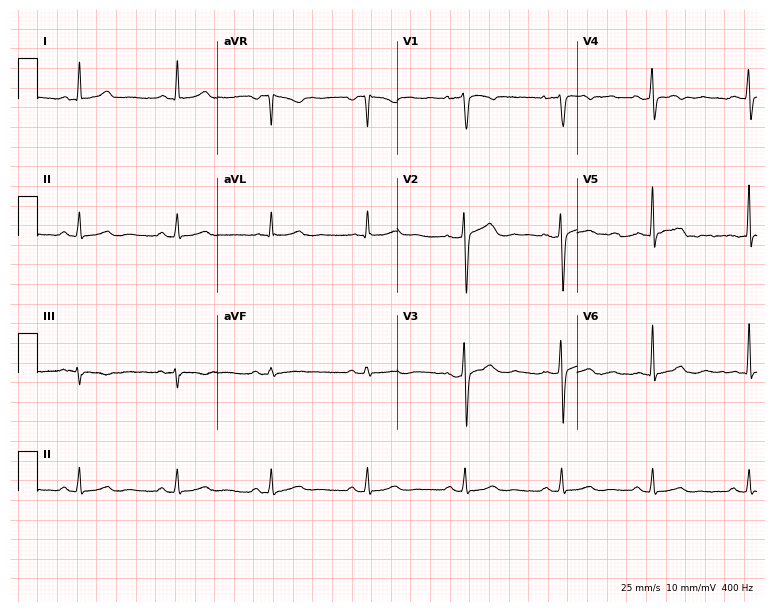
Standard 12-lead ECG recorded from a 40-year-old female patient. Read as a normal ECG.